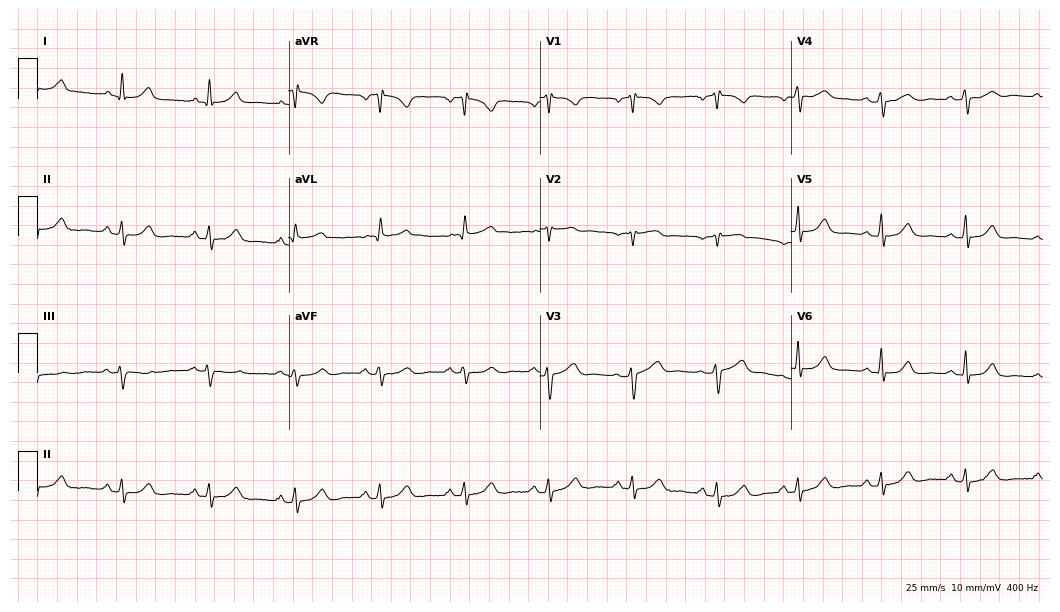
Electrocardiogram (10.2-second recording at 400 Hz), a 53-year-old woman. Overall reading on record: normal ECG.